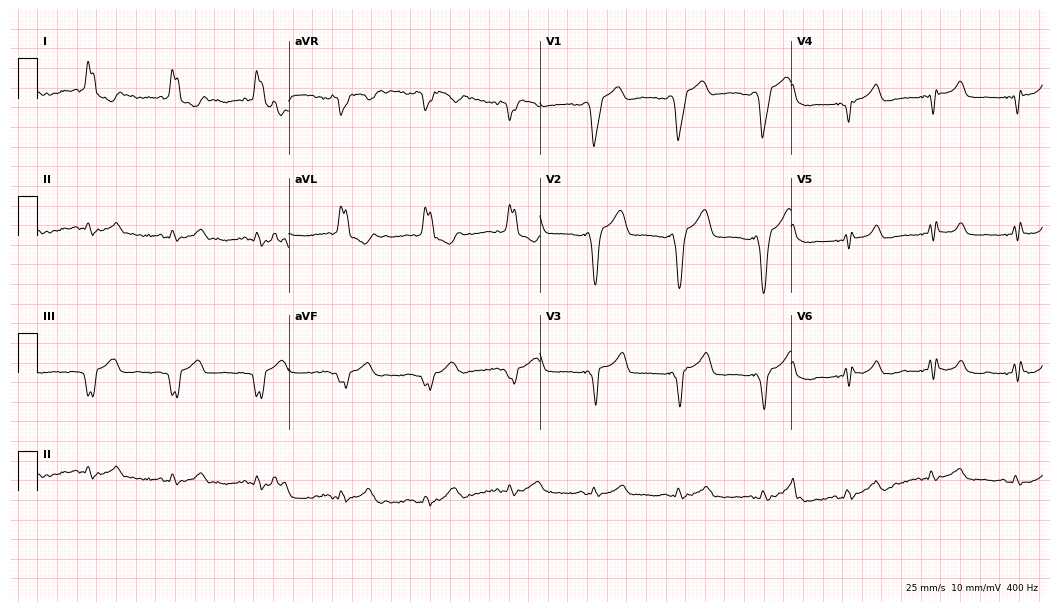
Electrocardiogram, a female, 57 years old. Of the six screened findings (first-degree AV block, right bundle branch block, left bundle branch block, sinus bradycardia, atrial fibrillation, sinus tachycardia), none is recorded.